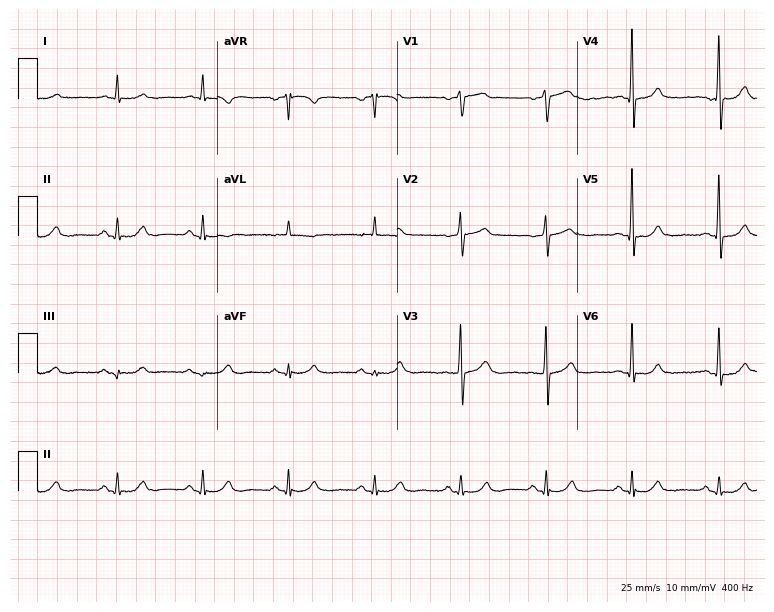
Resting 12-lead electrocardiogram. Patient: an 82-year-old male. None of these six findings is recorded: first-degree AV block, right bundle branch block, left bundle branch block, sinus bradycardia, atrial fibrillation, sinus tachycardia.